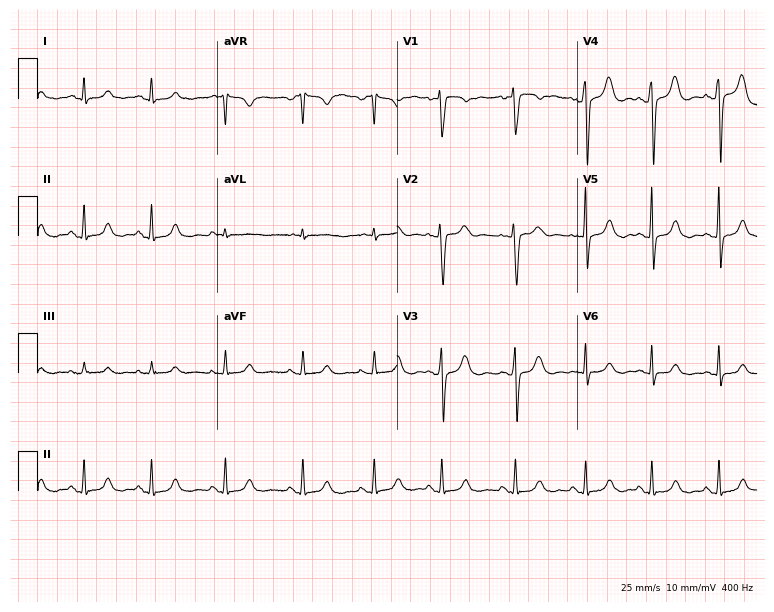
Electrocardiogram (7.3-second recording at 400 Hz), a 32-year-old female. Overall reading on record: normal ECG.